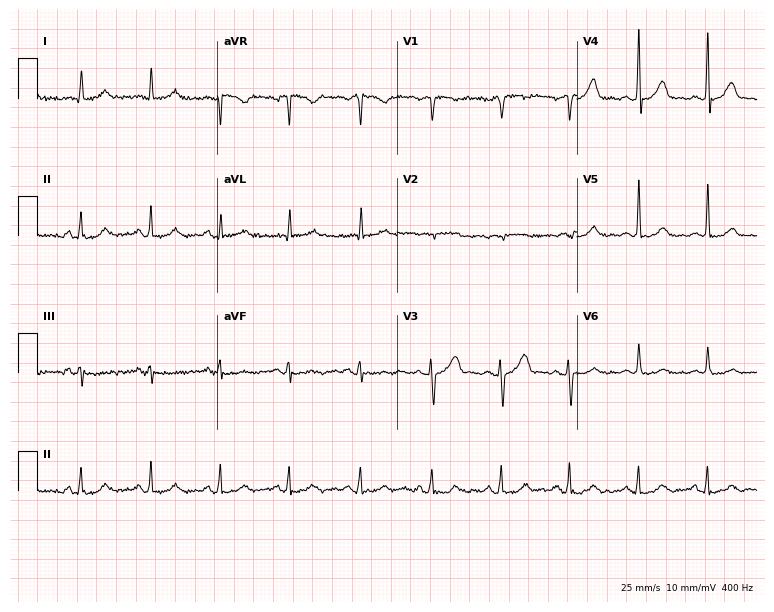
ECG — a 57-year-old male patient. Labelled as a normal ECG.